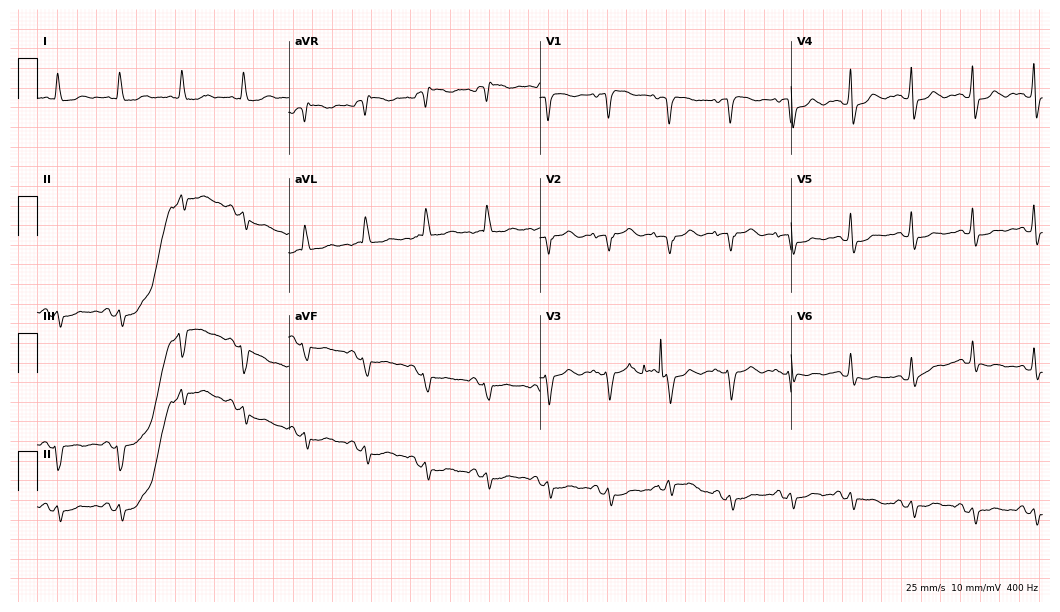
Electrocardiogram, an 84-year-old woman. Of the six screened findings (first-degree AV block, right bundle branch block, left bundle branch block, sinus bradycardia, atrial fibrillation, sinus tachycardia), none is recorded.